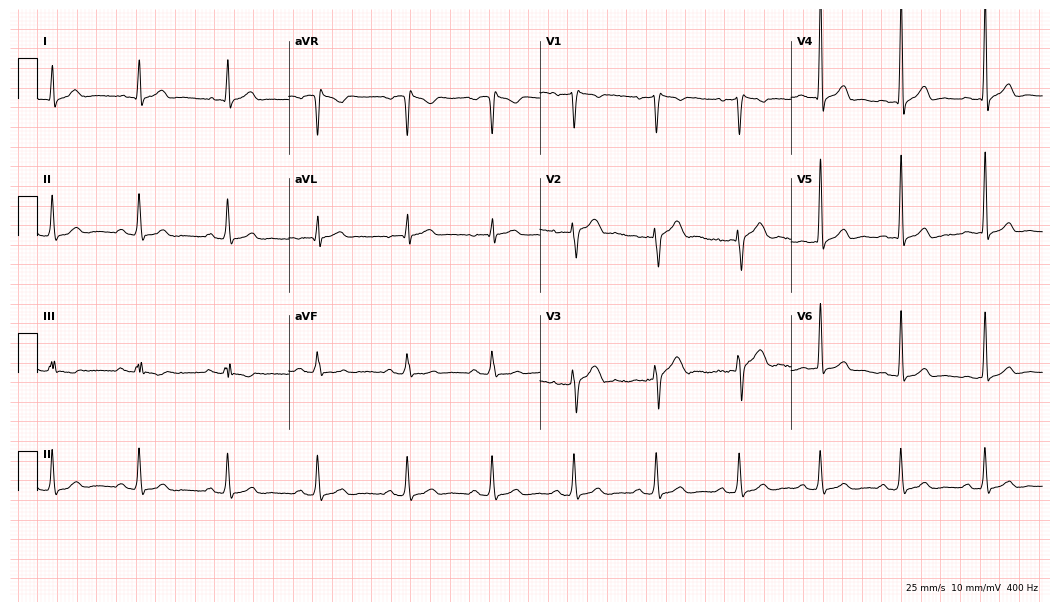
Standard 12-lead ECG recorded from a male, 33 years old. None of these six findings is recorded: first-degree AV block, right bundle branch block, left bundle branch block, sinus bradycardia, atrial fibrillation, sinus tachycardia. Only these six findings were labelled.